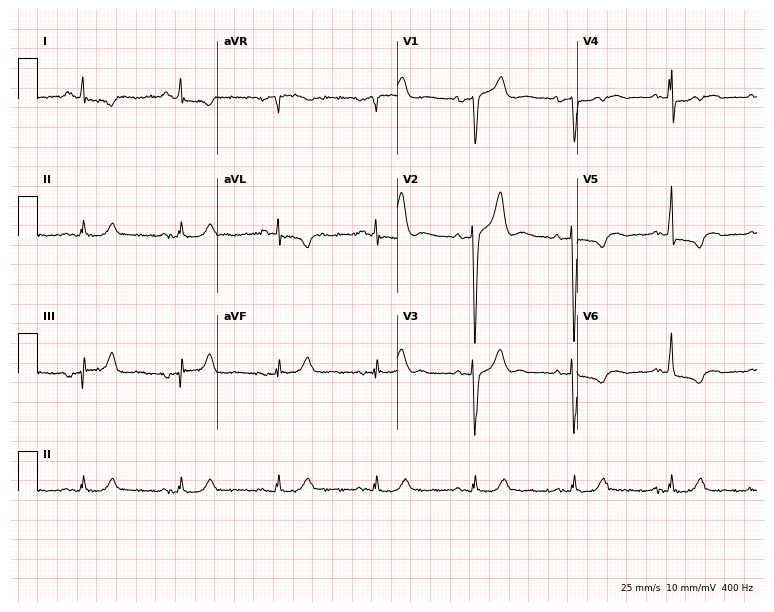
Resting 12-lead electrocardiogram. Patient: a man, 71 years old. None of these six findings is recorded: first-degree AV block, right bundle branch block, left bundle branch block, sinus bradycardia, atrial fibrillation, sinus tachycardia.